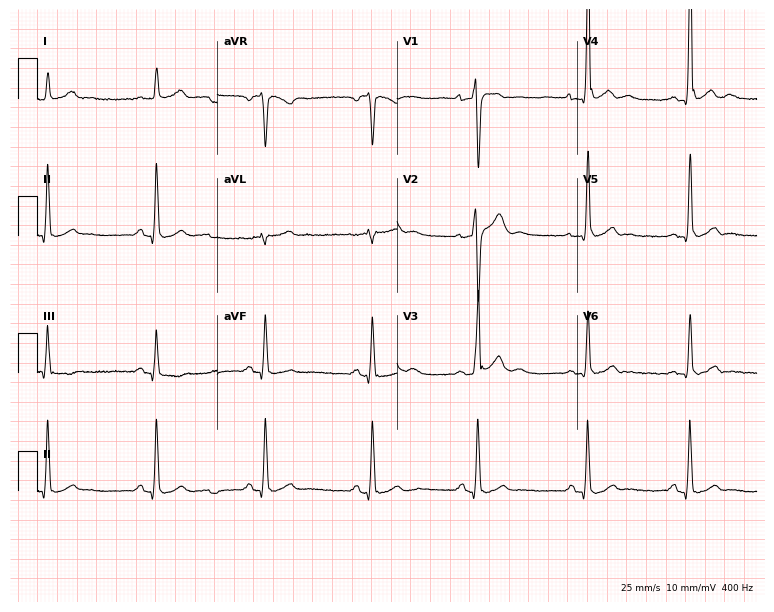
12-lead ECG from a male, 36 years old. No first-degree AV block, right bundle branch block, left bundle branch block, sinus bradycardia, atrial fibrillation or sinus tachycardia recorded for this tracing.